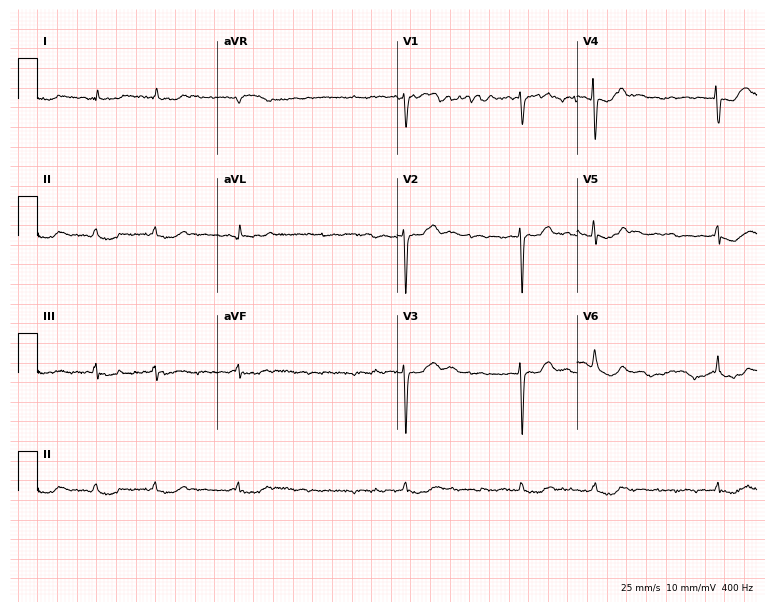
Electrocardiogram, an 80-year-old female. Interpretation includes atrial fibrillation.